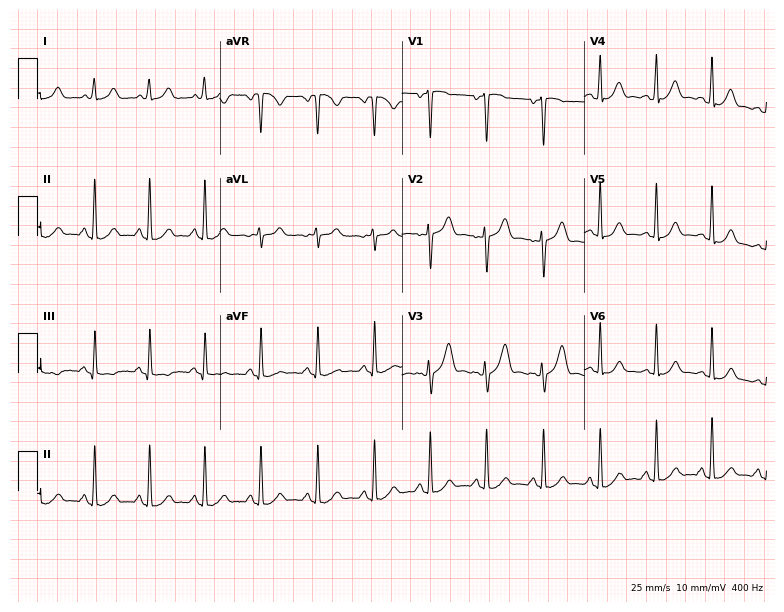
Electrocardiogram, a woman, 28 years old. Interpretation includes sinus tachycardia (a sinus rate of 100 beats per minute or more).